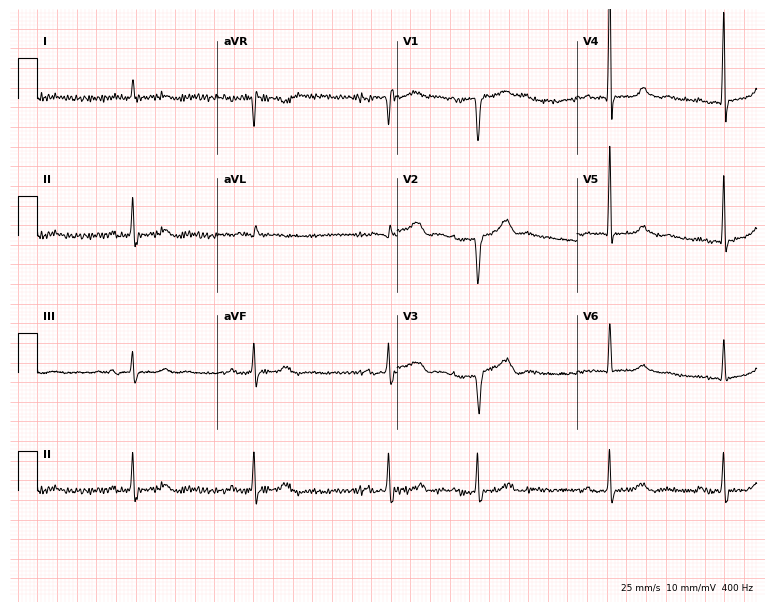
Standard 12-lead ECG recorded from a man, 75 years old (7.3-second recording at 400 Hz). The tracing shows first-degree AV block, sinus bradycardia (a sinus rate of 50 beats per minute or less).